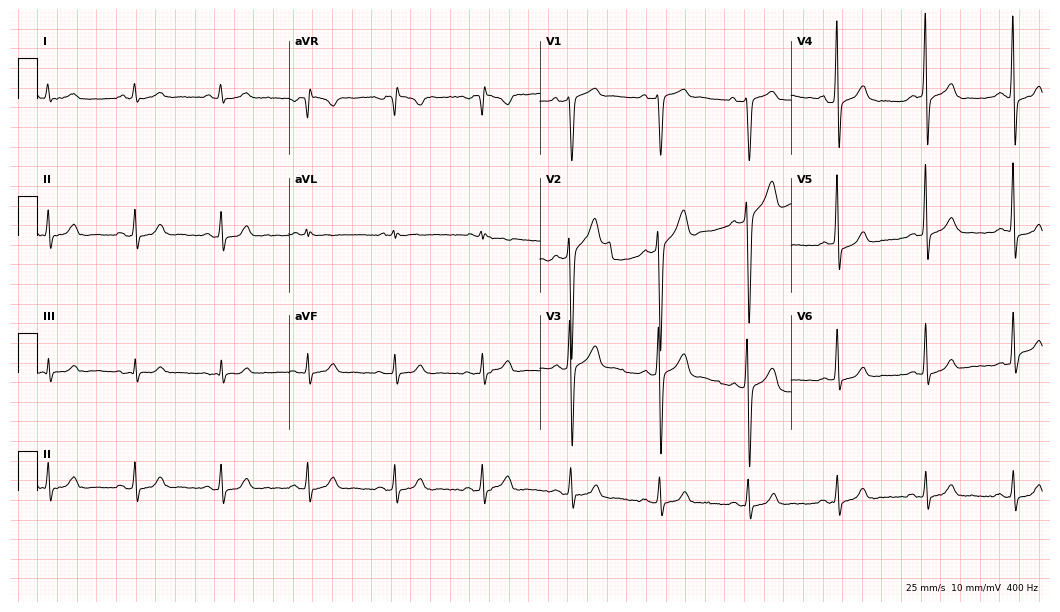
ECG (10.2-second recording at 400 Hz) — a 48-year-old man. Labelled as a normal ECG.